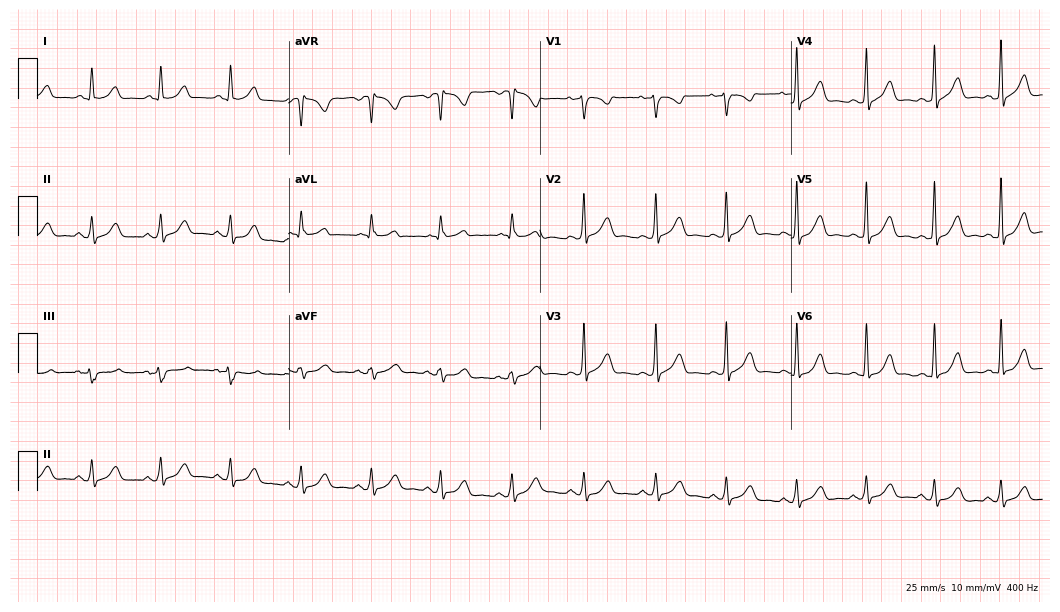
ECG — a female patient, 36 years old. Labelled as a normal ECG.